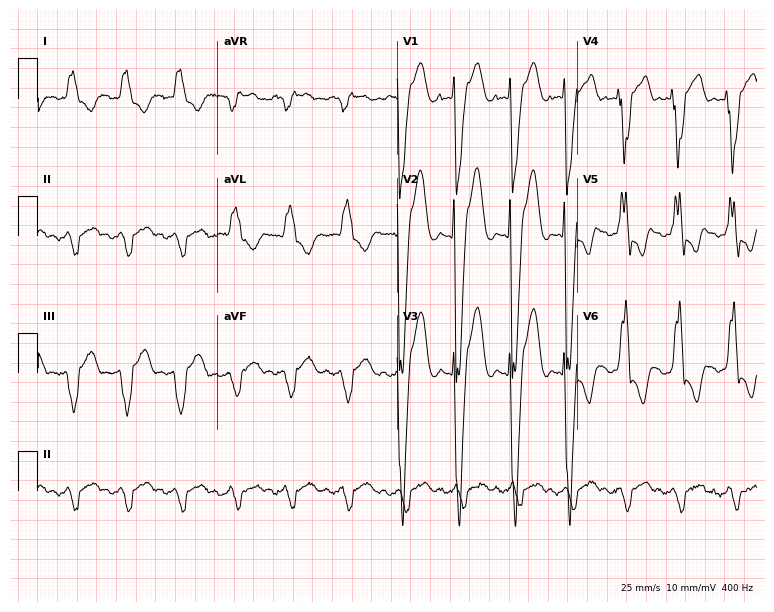
Electrocardiogram (7.3-second recording at 400 Hz), a female, 84 years old. Interpretation includes left bundle branch block, sinus tachycardia (a sinus rate of 100 beats per minute or more).